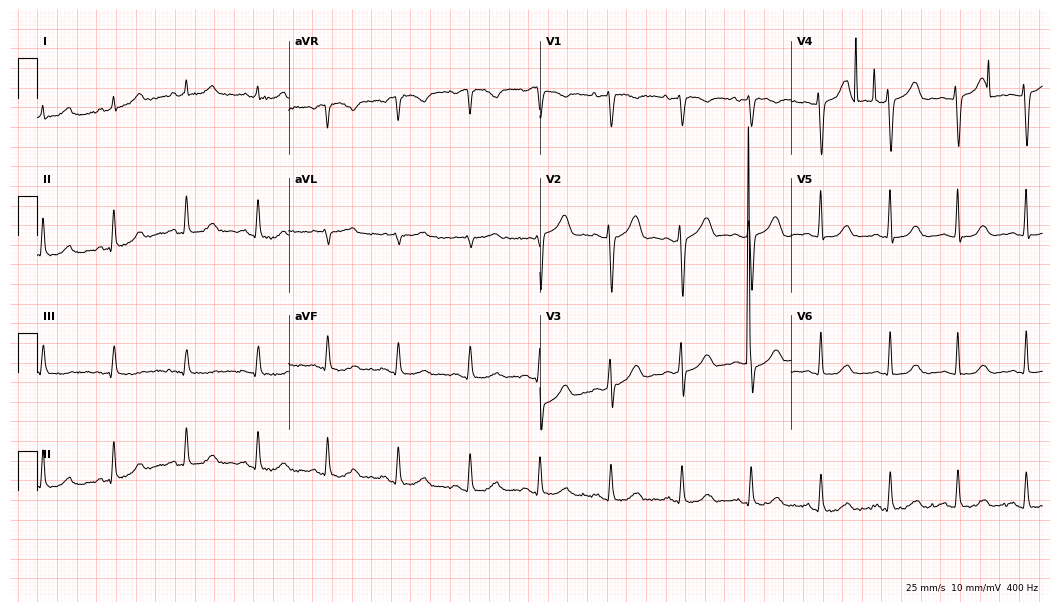
Electrocardiogram, a female patient, 44 years old. Of the six screened findings (first-degree AV block, right bundle branch block (RBBB), left bundle branch block (LBBB), sinus bradycardia, atrial fibrillation (AF), sinus tachycardia), none is recorded. Other findings, if any, are not listed.